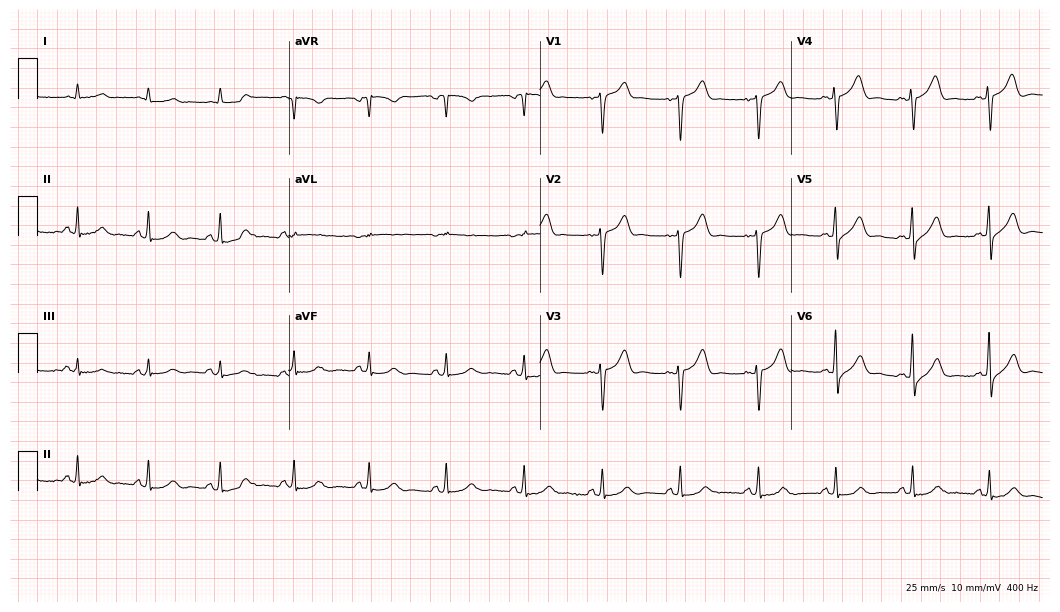
12-lead ECG from a man, 62 years old. Labelled as a normal ECG.